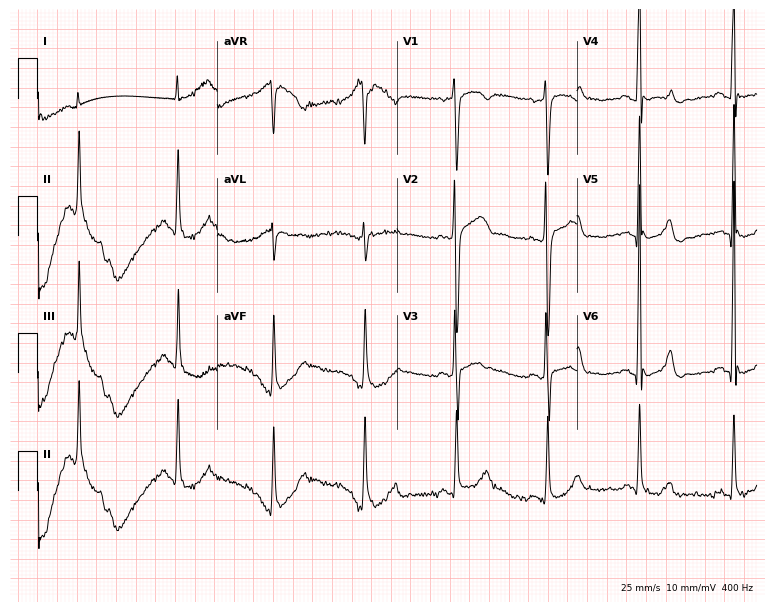
ECG (7.3-second recording at 400 Hz) — a man, 39 years old. Screened for six findings — first-degree AV block, right bundle branch block, left bundle branch block, sinus bradycardia, atrial fibrillation, sinus tachycardia — none is recorded. Findings outside these six are not listed.